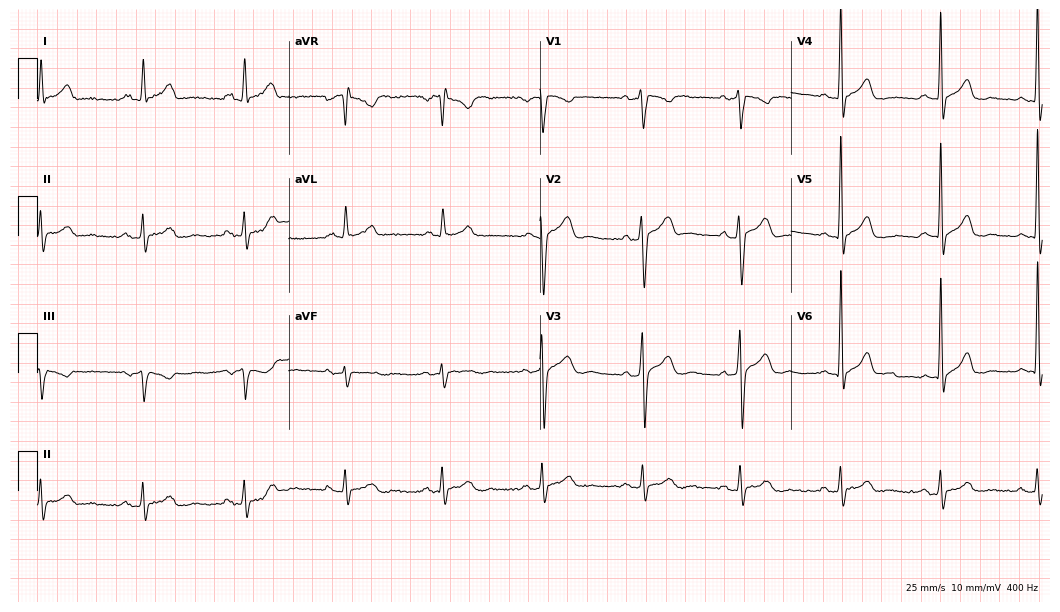
Electrocardiogram (10.2-second recording at 400 Hz), a 48-year-old man. Overall reading on record: normal ECG.